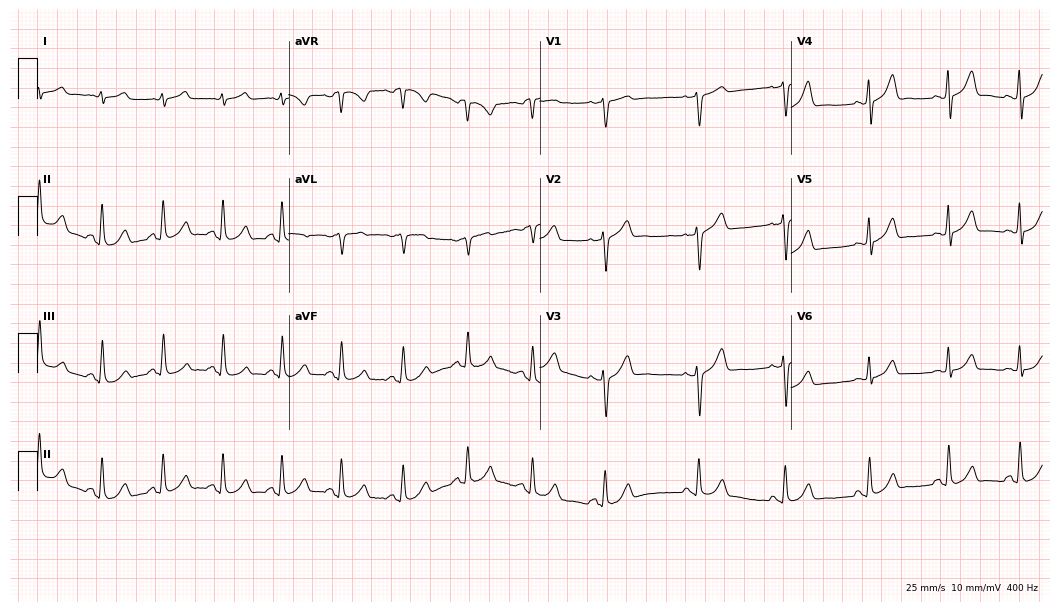
12-lead ECG from a male patient, 43 years old. Labelled as a normal ECG.